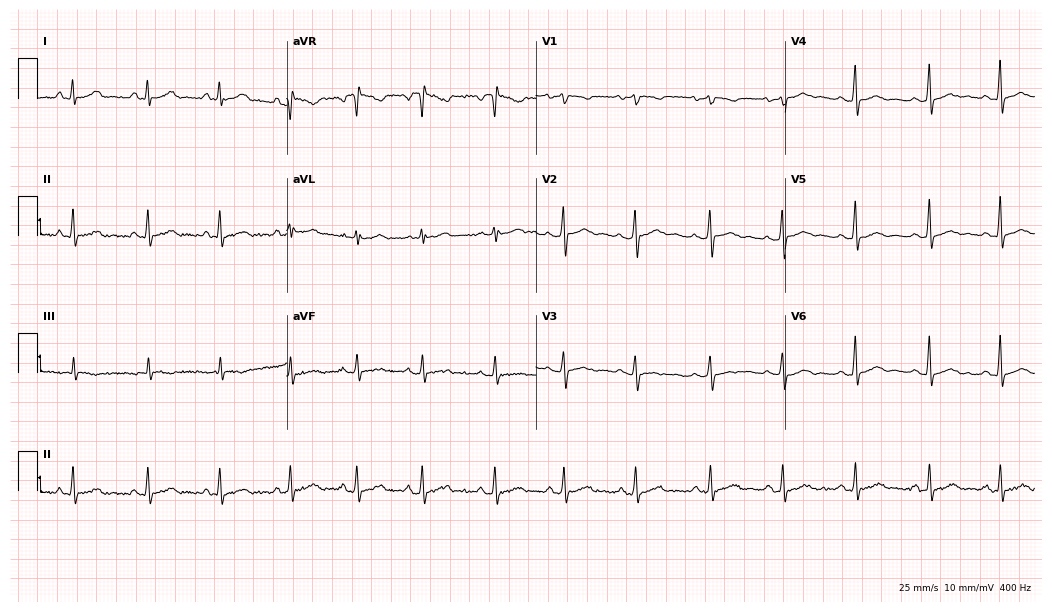
12-lead ECG from a 31-year-old female patient. Labelled as a normal ECG.